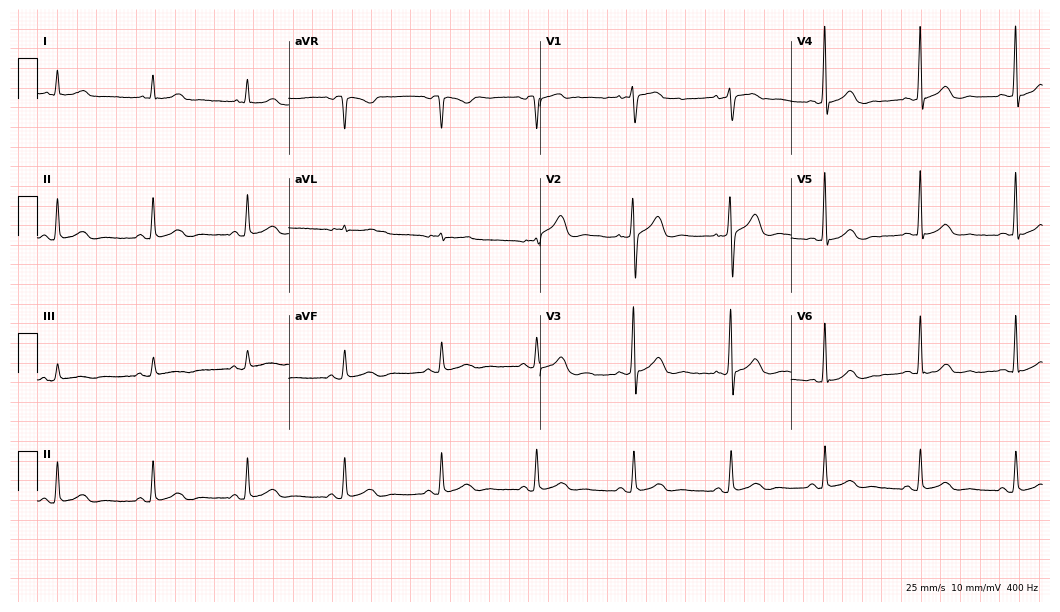
Electrocardiogram, a 59-year-old female. Overall reading on record: normal ECG.